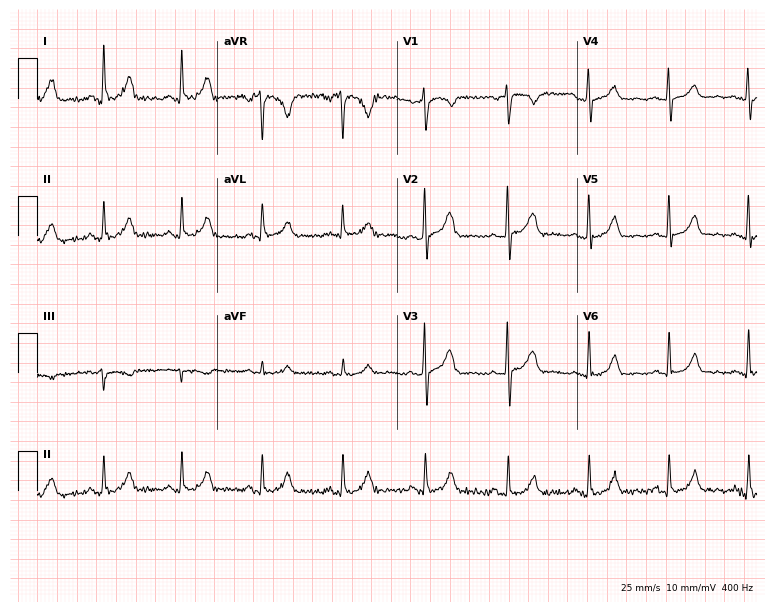
12-lead ECG from a female, 56 years old (7.3-second recording at 400 Hz). Recorded interpretation: within normal limits.